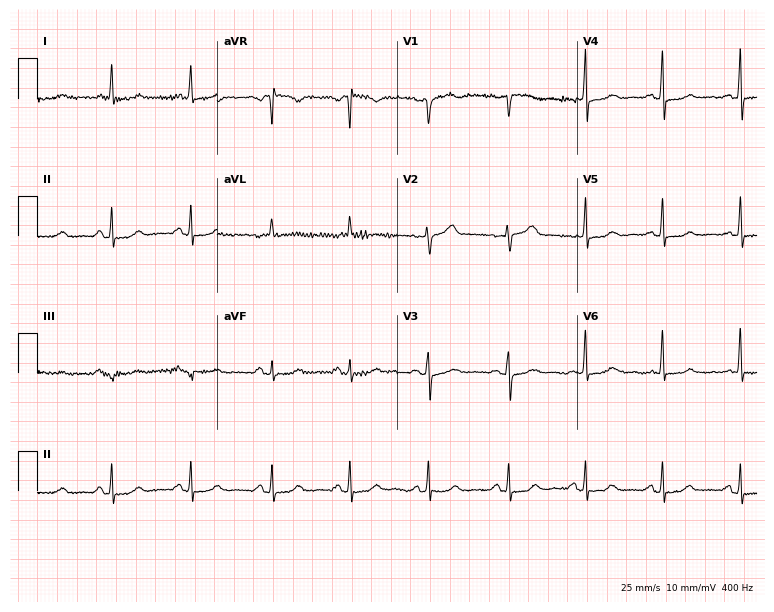
Electrocardiogram, a 65-year-old female. Overall reading on record: normal ECG.